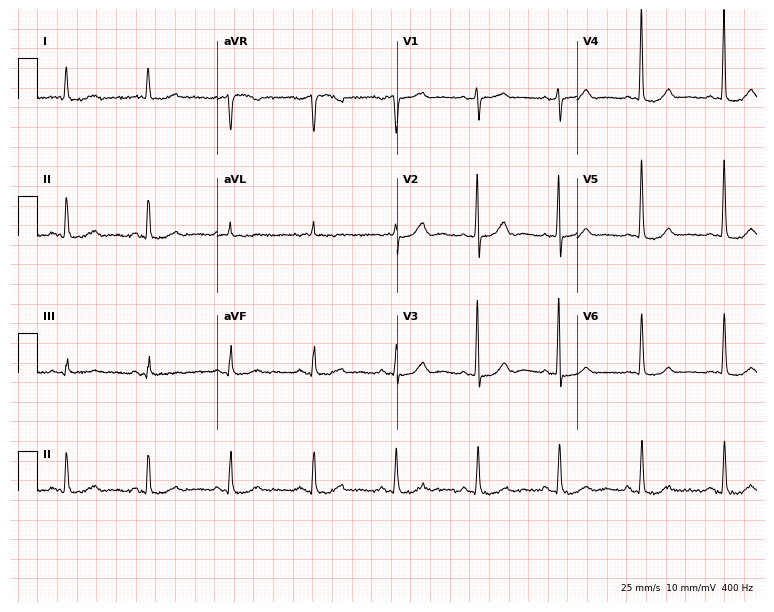
Resting 12-lead electrocardiogram. Patient: a woman, 81 years old. None of these six findings is recorded: first-degree AV block, right bundle branch block, left bundle branch block, sinus bradycardia, atrial fibrillation, sinus tachycardia.